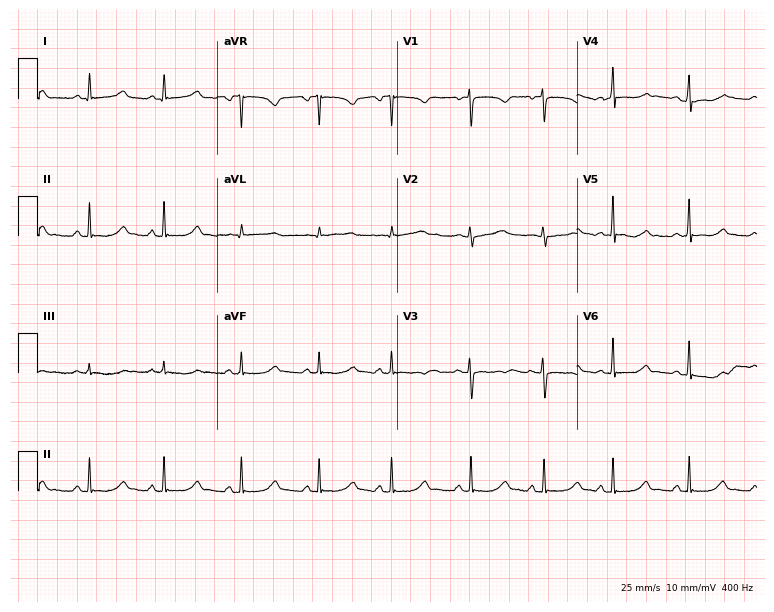
12-lead ECG from a 20-year-old woman. Screened for six findings — first-degree AV block, right bundle branch block (RBBB), left bundle branch block (LBBB), sinus bradycardia, atrial fibrillation (AF), sinus tachycardia — none is recorded.